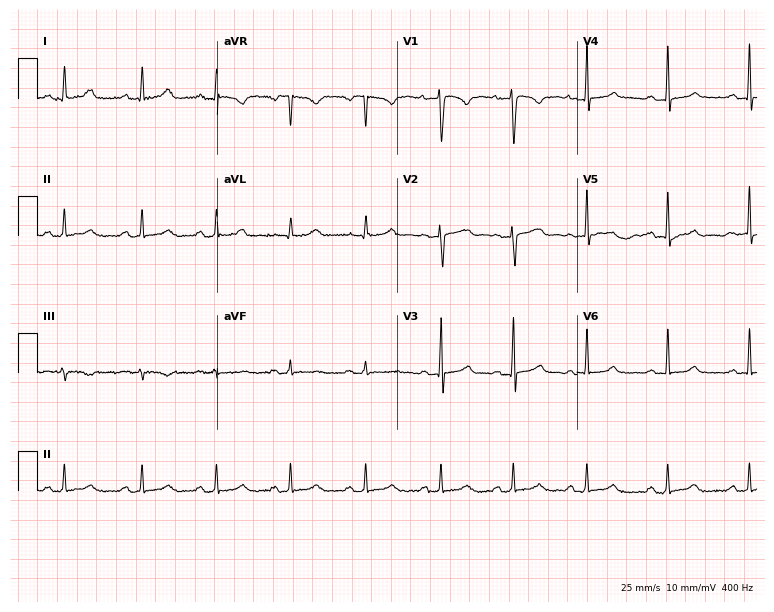
Resting 12-lead electrocardiogram (7.3-second recording at 400 Hz). Patient: a 23-year-old female. Read as a normal ECG.